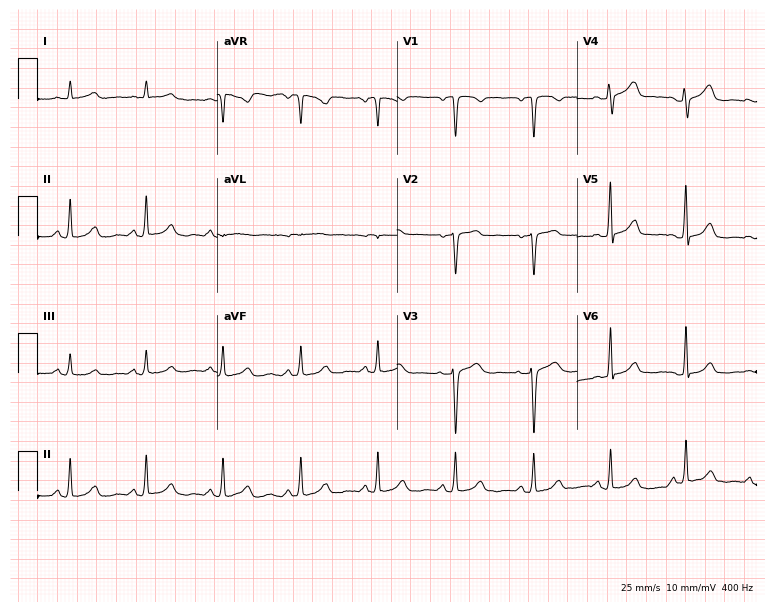
12-lead ECG from a 50-year-old woman. No first-degree AV block, right bundle branch block (RBBB), left bundle branch block (LBBB), sinus bradycardia, atrial fibrillation (AF) or sinus tachycardia recorded for this tracing. Only these six findings were labelled.